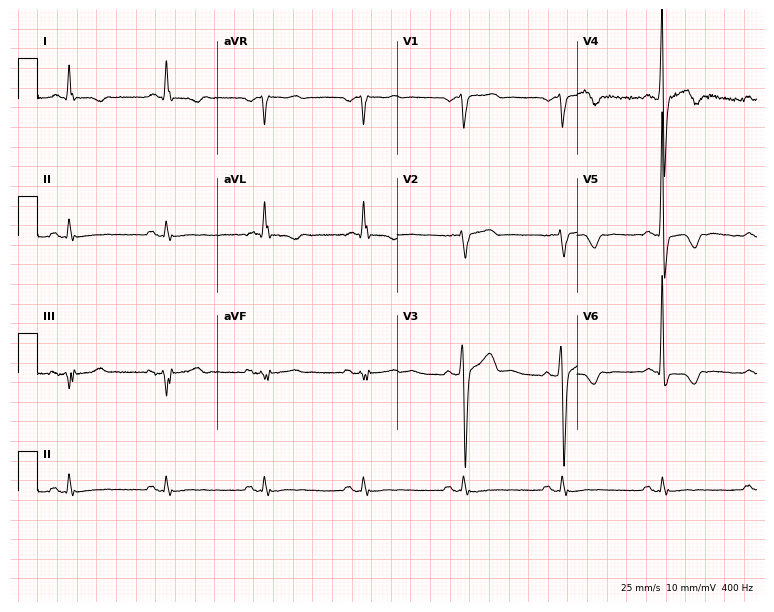
Standard 12-lead ECG recorded from a man, 68 years old (7.3-second recording at 400 Hz). None of these six findings is recorded: first-degree AV block, right bundle branch block, left bundle branch block, sinus bradycardia, atrial fibrillation, sinus tachycardia. Findings outside these six are not listed.